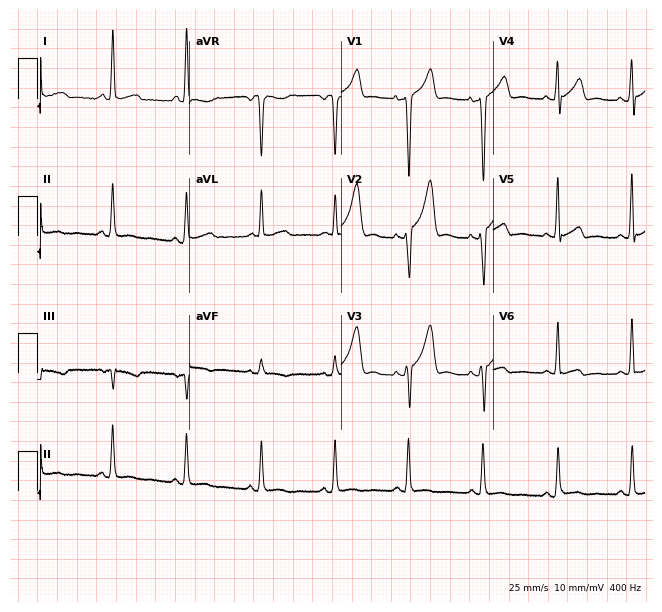
12-lead ECG from a male, 36 years old. No first-degree AV block, right bundle branch block (RBBB), left bundle branch block (LBBB), sinus bradycardia, atrial fibrillation (AF) or sinus tachycardia recorded for this tracing. Findings outside these six are not listed.